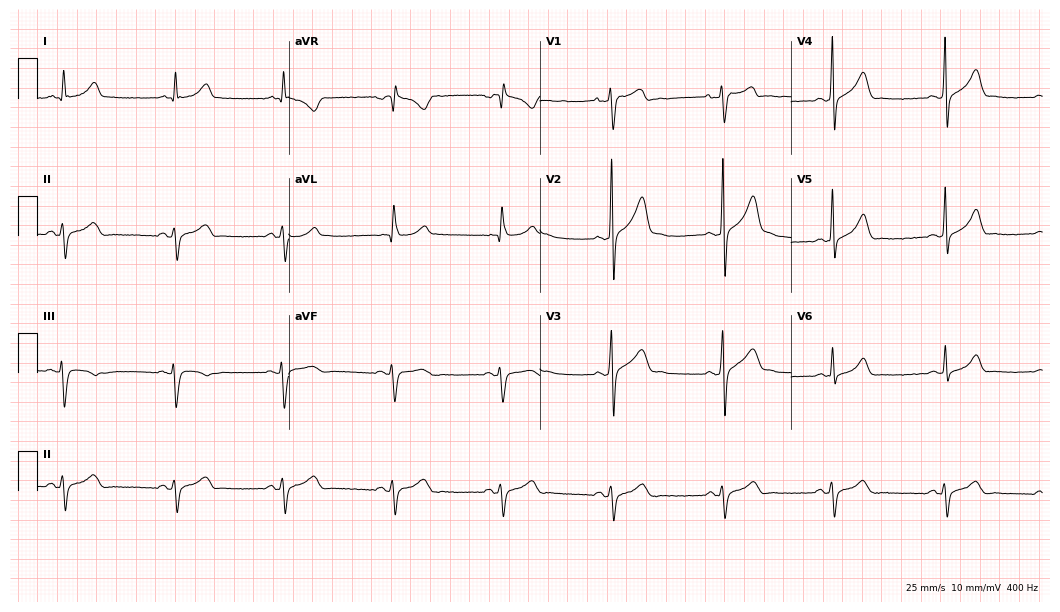
Standard 12-lead ECG recorded from a male, 44 years old (10.2-second recording at 400 Hz). None of these six findings is recorded: first-degree AV block, right bundle branch block, left bundle branch block, sinus bradycardia, atrial fibrillation, sinus tachycardia. Other findings, if any, are not listed.